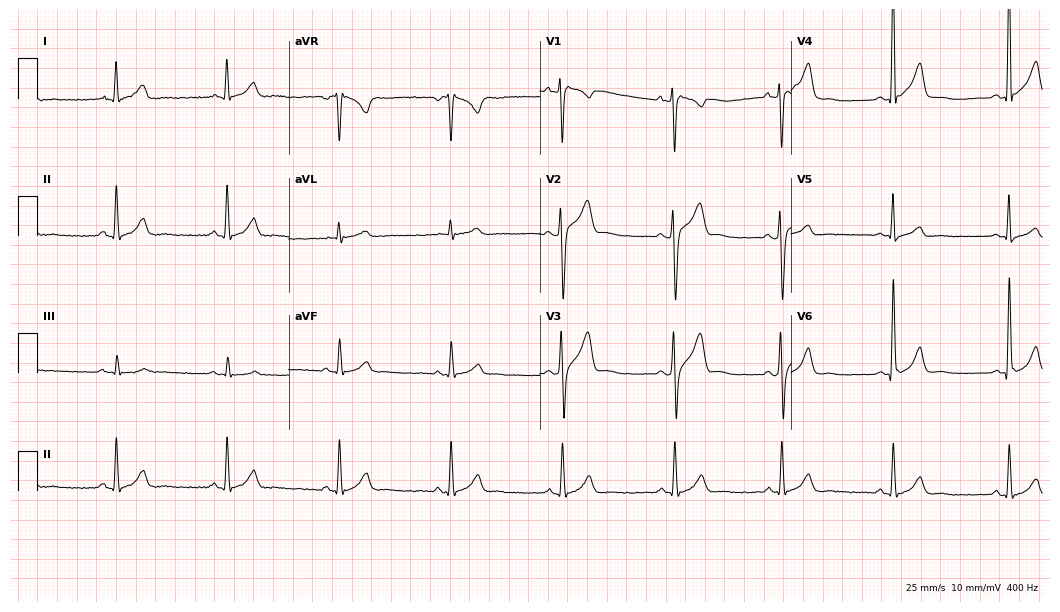
ECG — a male, 51 years old. Screened for six findings — first-degree AV block, right bundle branch block (RBBB), left bundle branch block (LBBB), sinus bradycardia, atrial fibrillation (AF), sinus tachycardia — none is recorded. Other findings, if any, are not listed.